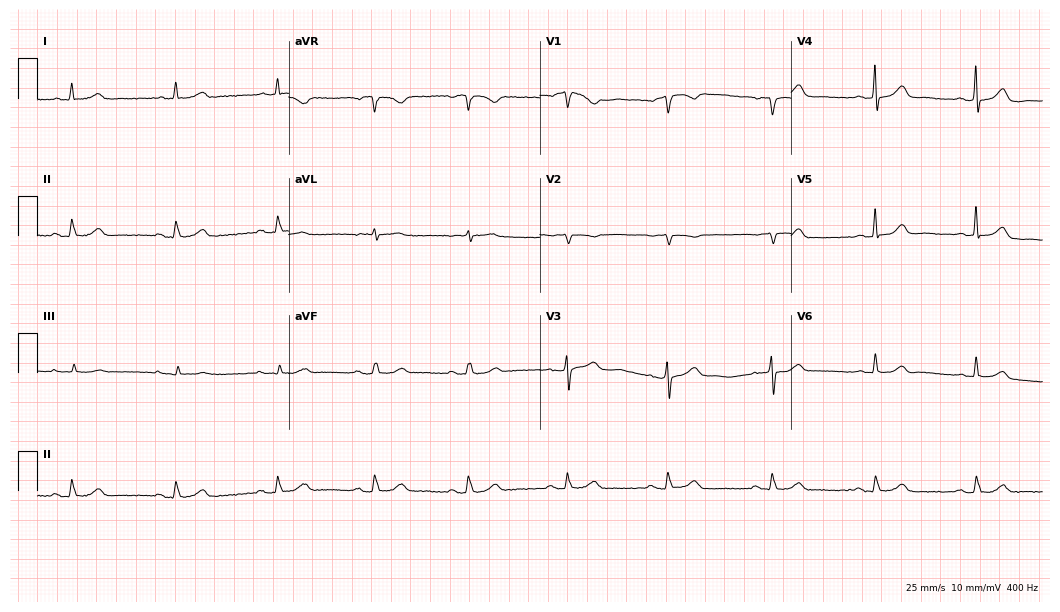
Electrocardiogram, a female, 81 years old. Overall reading on record: normal ECG.